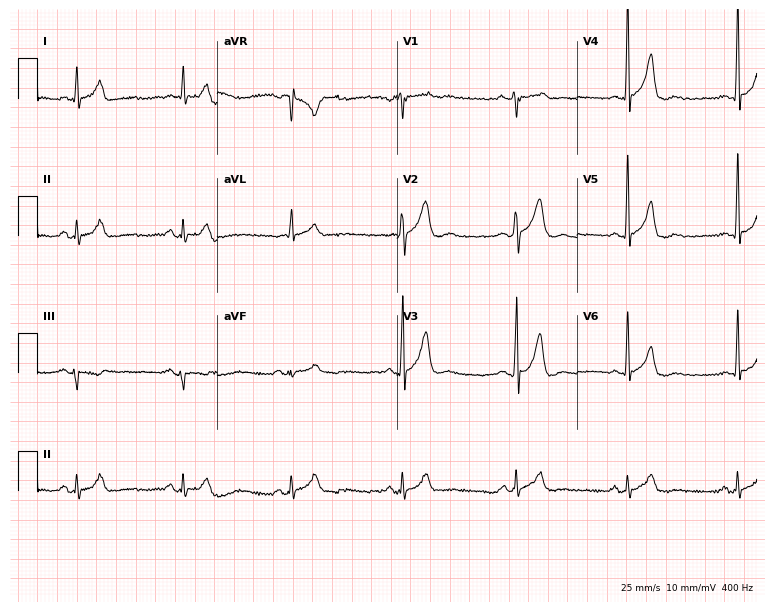
12-lead ECG (7.3-second recording at 400 Hz) from a man, 27 years old. Labelled as a normal ECG.